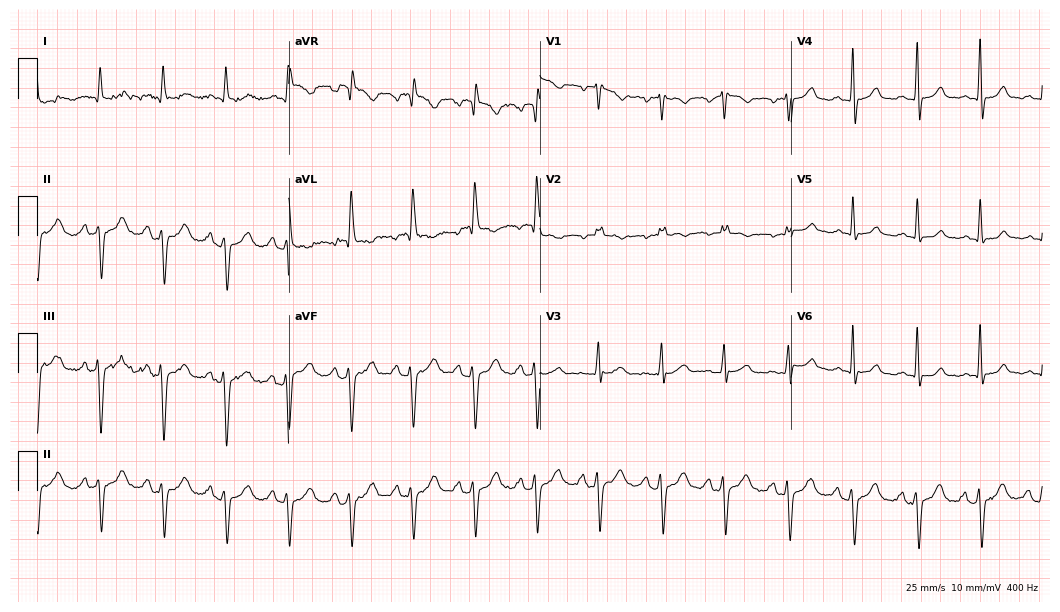
12-lead ECG from a woman, 68 years old. Screened for six findings — first-degree AV block, right bundle branch block (RBBB), left bundle branch block (LBBB), sinus bradycardia, atrial fibrillation (AF), sinus tachycardia — none is recorded. Findings outside these six are not listed.